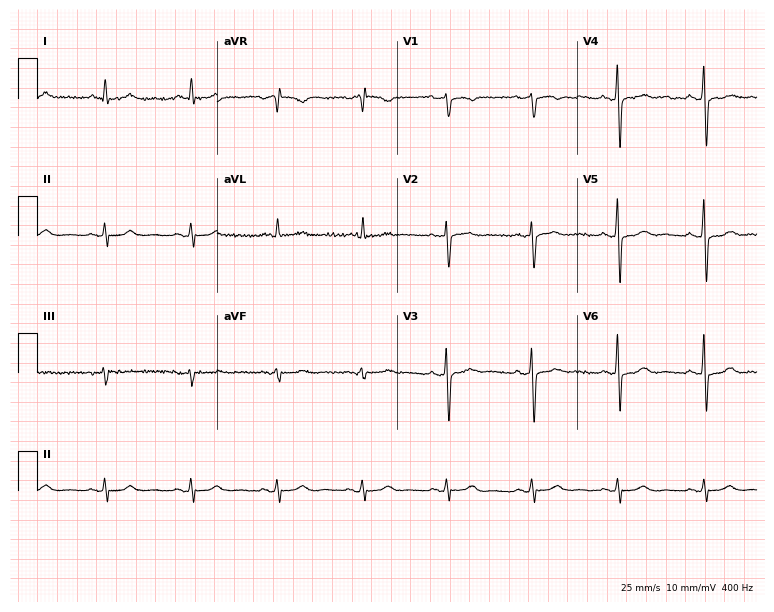
12-lead ECG from a male patient, 68 years old. No first-degree AV block, right bundle branch block (RBBB), left bundle branch block (LBBB), sinus bradycardia, atrial fibrillation (AF) or sinus tachycardia recorded for this tracing.